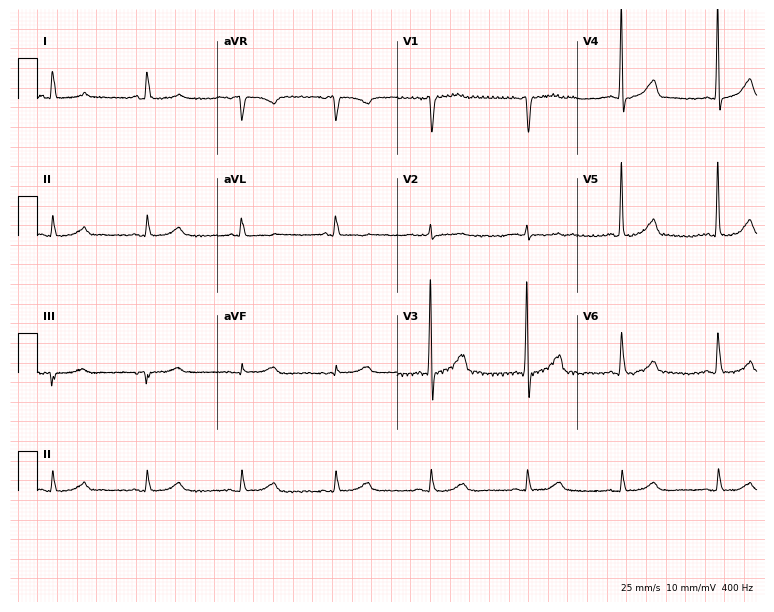
Standard 12-lead ECG recorded from a 70-year-old woman (7.3-second recording at 400 Hz). None of these six findings is recorded: first-degree AV block, right bundle branch block, left bundle branch block, sinus bradycardia, atrial fibrillation, sinus tachycardia.